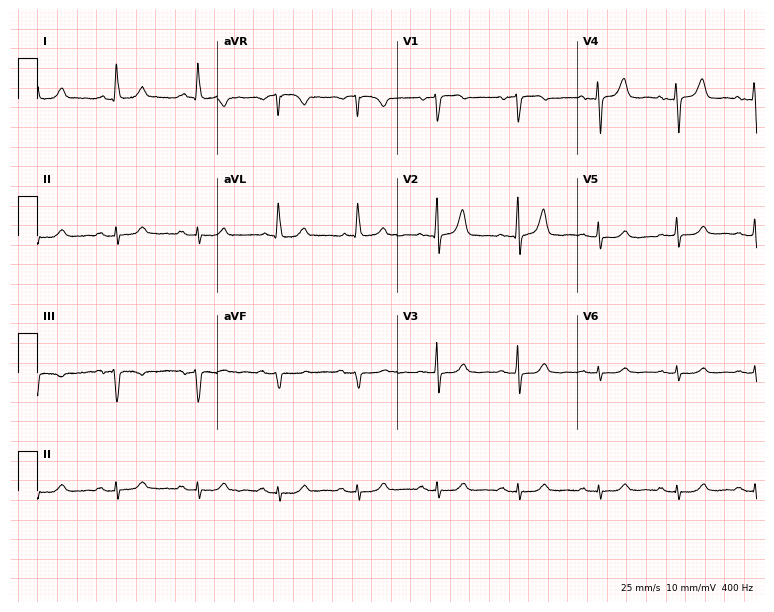
Resting 12-lead electrocardiogram (7.3-second recording at 400 Hz). Patient: a woman, 81 years old. Read as a normal ECG.